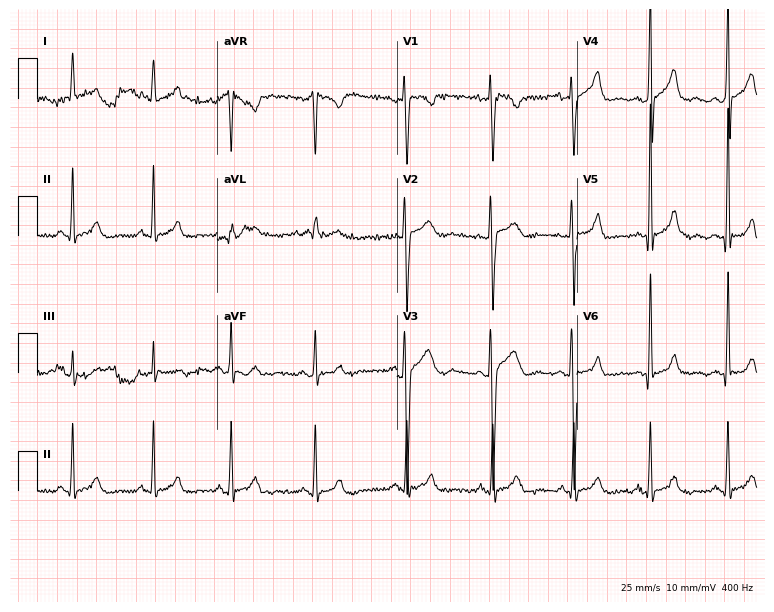
Standard 12-lead ECG recorded from a male patient, 25 years old (7.3-second recording at 400 Hz). Read as a normal ECG.